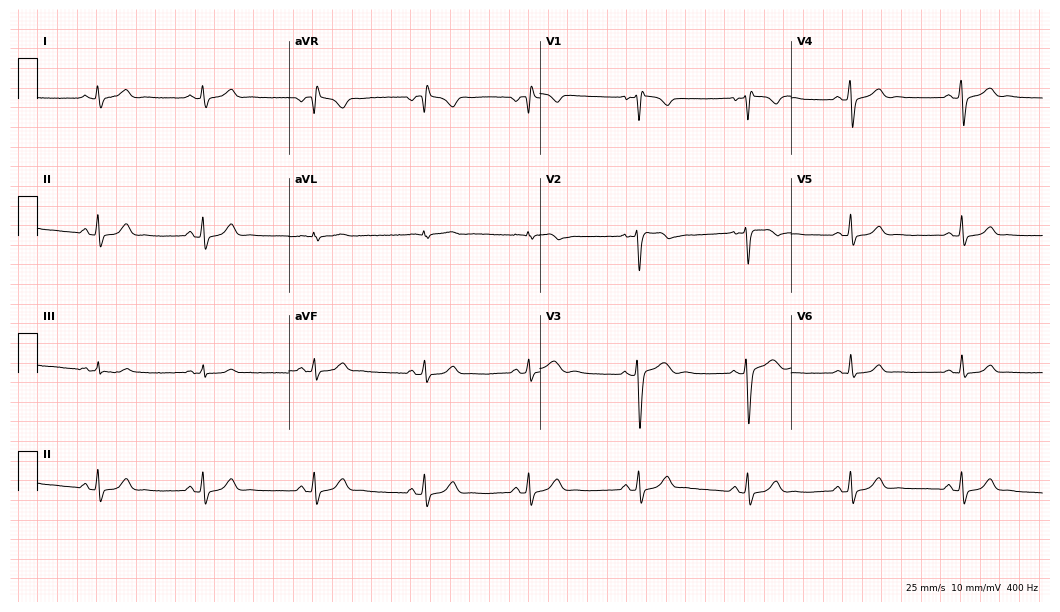
Resting 12-lead electrocardiogram (10.2-second recording at 400 Hz). Patient: a 37-year-old female. None of these six findings is recorded: first-degree AV block, right bundle branch block (RBBB), left bundle branch block (LBBB), sinus bradycardia, atrial fibrillation (AF), sinus tachycardia.